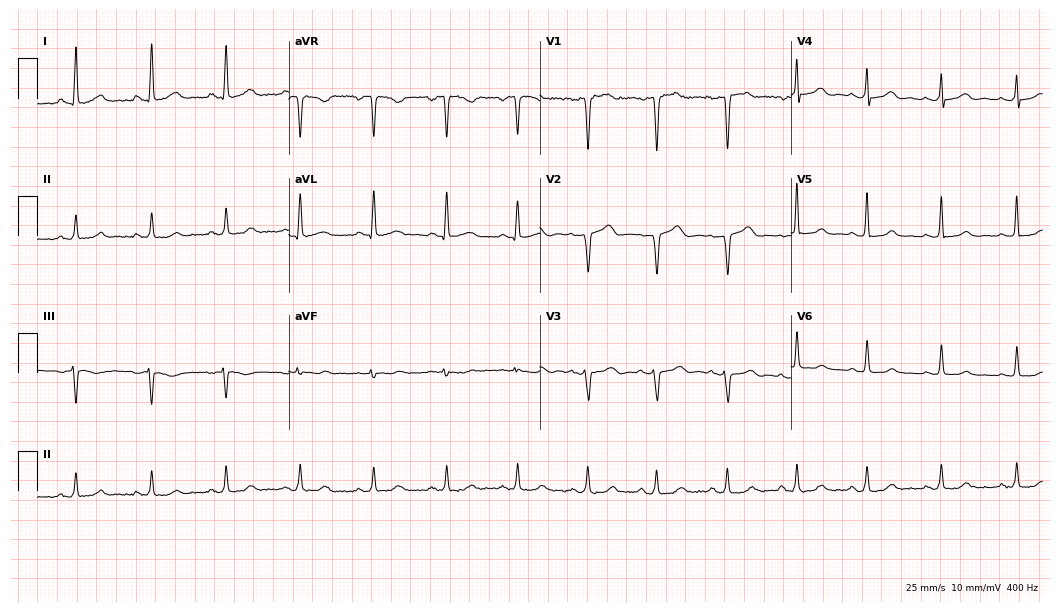
ECG — a 49-year-old female. Labelled as a normal ECG.